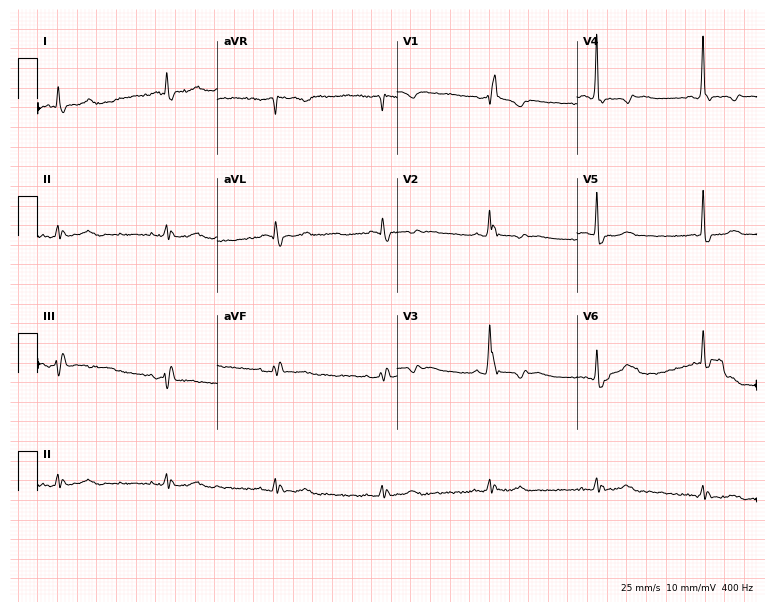
12-lead ECG from a male, 83 years old. Shows right bundle branch block (RBBB).